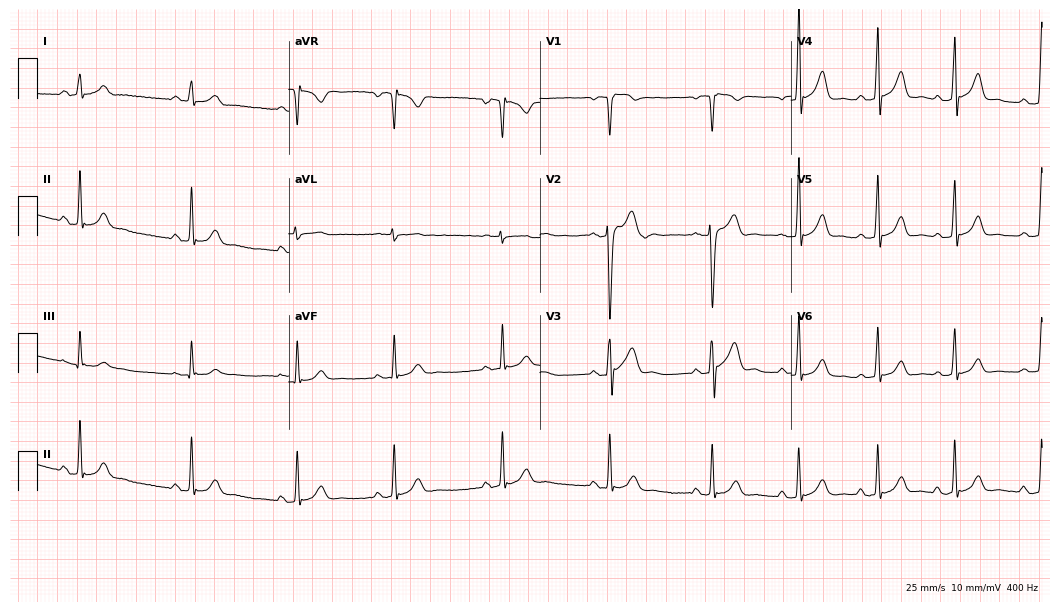
12-lead ECG from a female, 18 years old. Recorded interpretation: within normal limits.